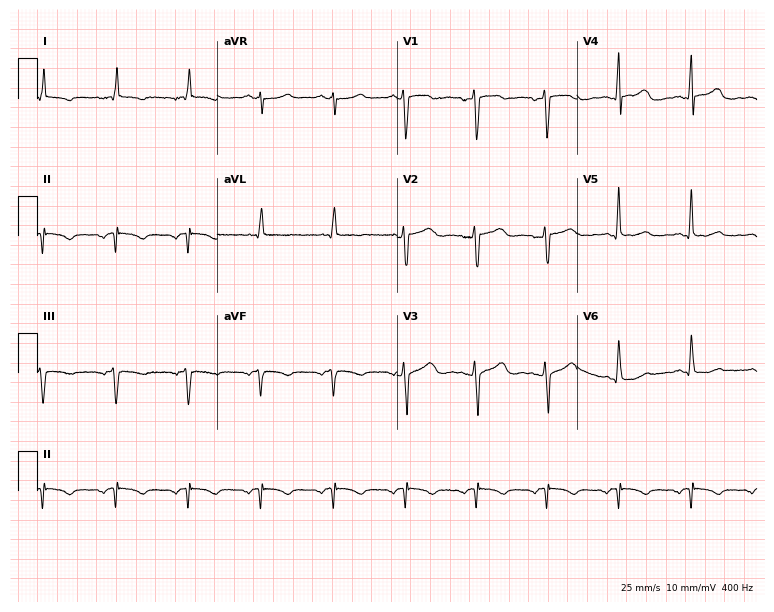
12-lead ECG from a 43-year-old woman (7.3-second recording at 400 Hz). Recorded interpretation: within normal limits.